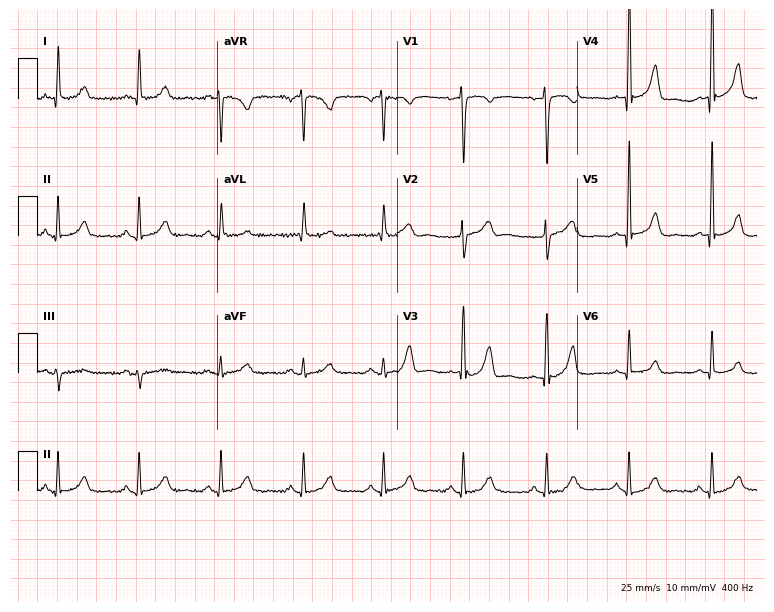
Electrocardiogram, a 64-year-old woman. Overall reading on record: normal ECG.